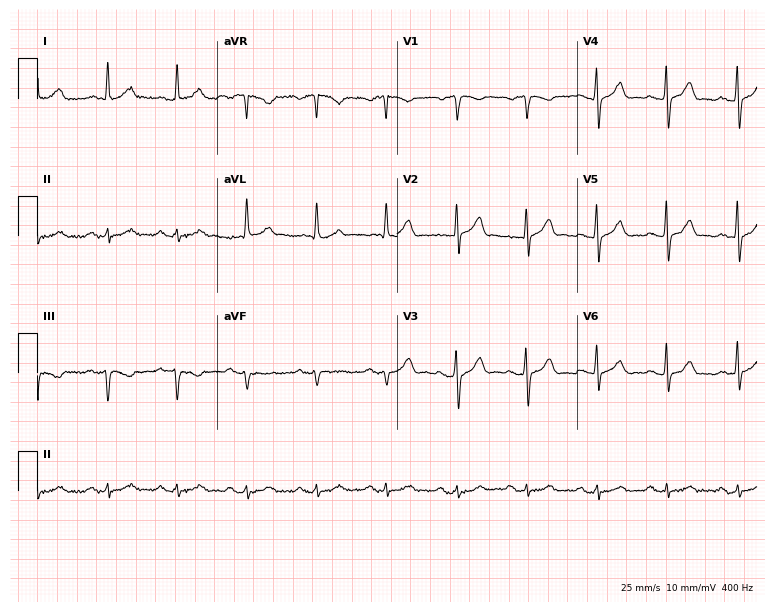
ECG — a 77-year-old male. Labelled as a normal ECG.